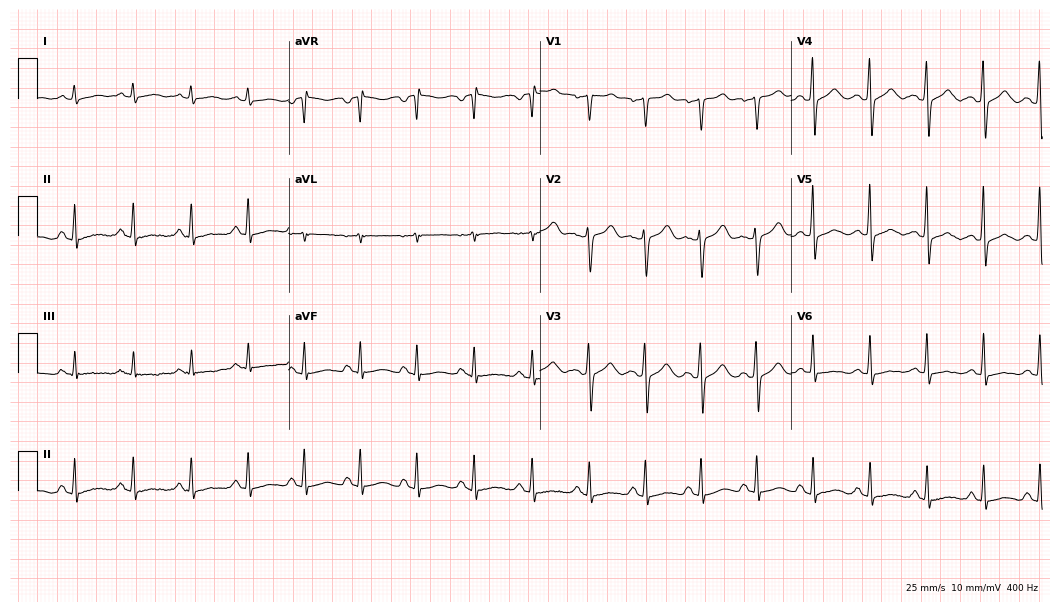
12-lead ECG from a 60-year-old female. Shows sinus tachycardia (a sinus rate of 100 beats per minute or more).